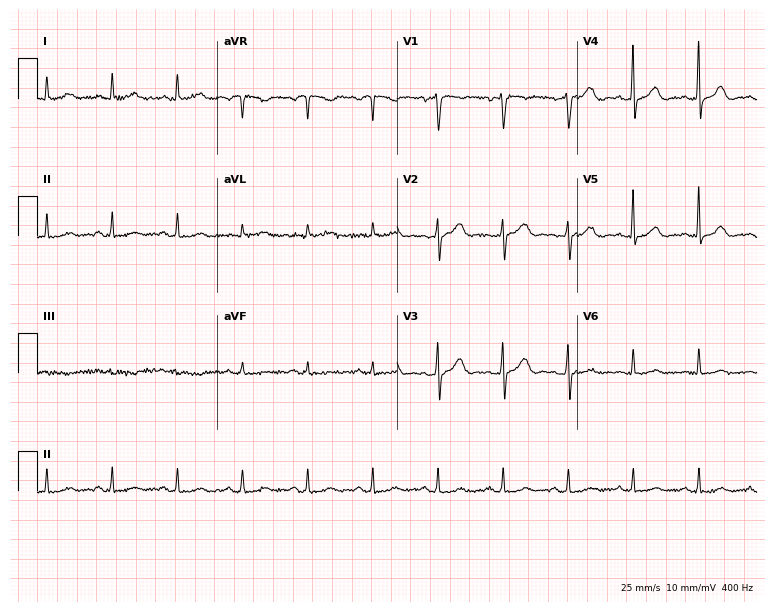
Electrocardiogram (7.3-second recording at 400 Hz), a 63-year-old male. Overall reading on record: normal ECG.